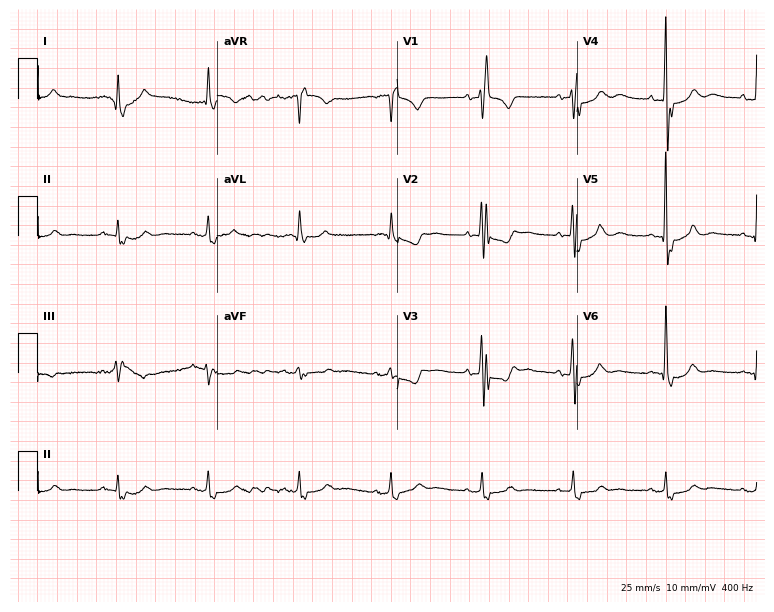
12-lead ECG from a woman, 79 years old. Findings include right bundle branch block (RBBB).